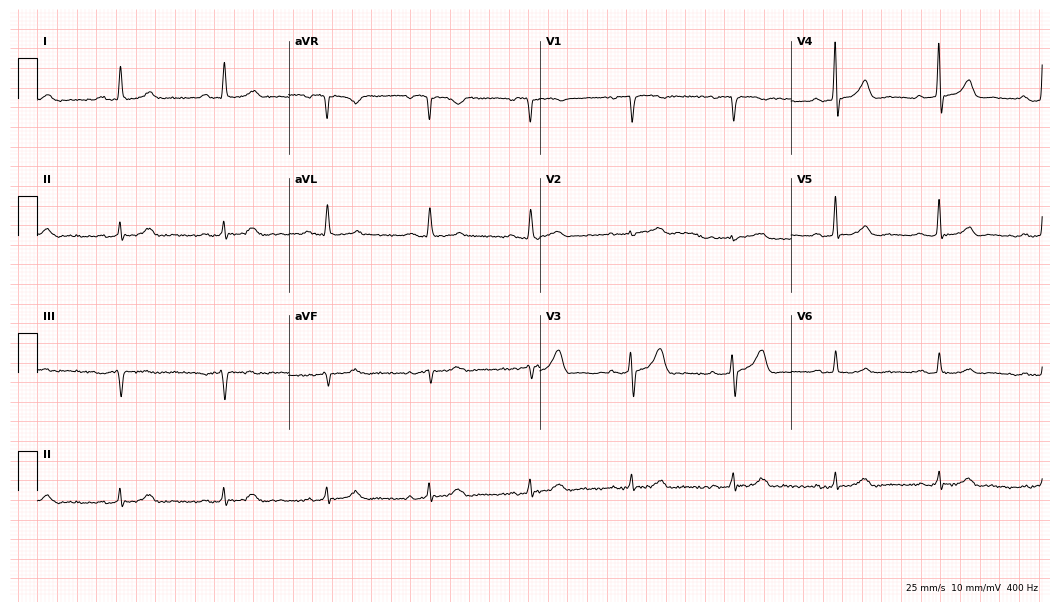
12-lead ECG (10.2-second recording at 400 Hz) from a male patient, 75 years old. Screened for six findings — first-degree AV block, right bundle branch block (RBBB), left bundle branch block (LBBB), sinus bradycardia, atrial fibrillation (AF), sinus tachycardia — none is recorded. Other findings, if any, are not listed.